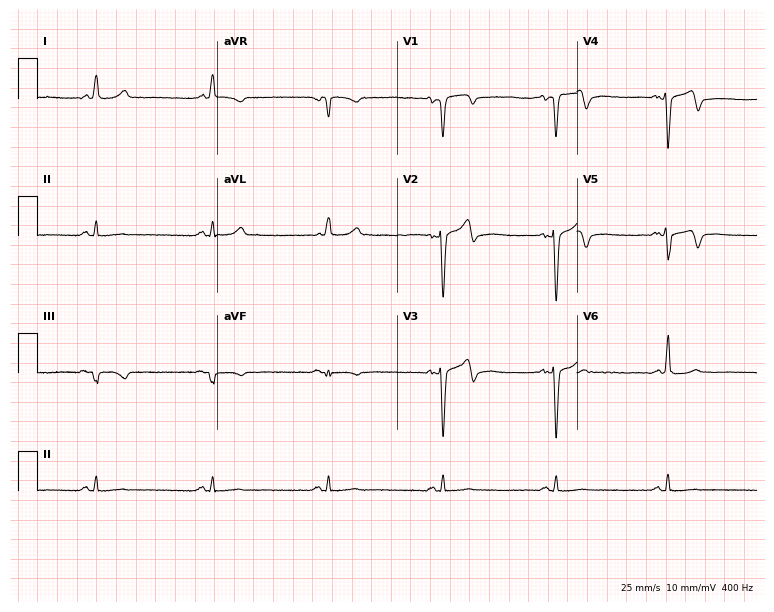
Resting 12-lead electrocardiogram (7.3-second recording at 400 Hz). Patient: a 71-year-old male. None of these six findings is recorded: first-degree AV block, right bundle branch block, left bundle branch block, sinus bradycardia, atrial fibrillation, sinus tachycardia. Findings outside these six are not listed.